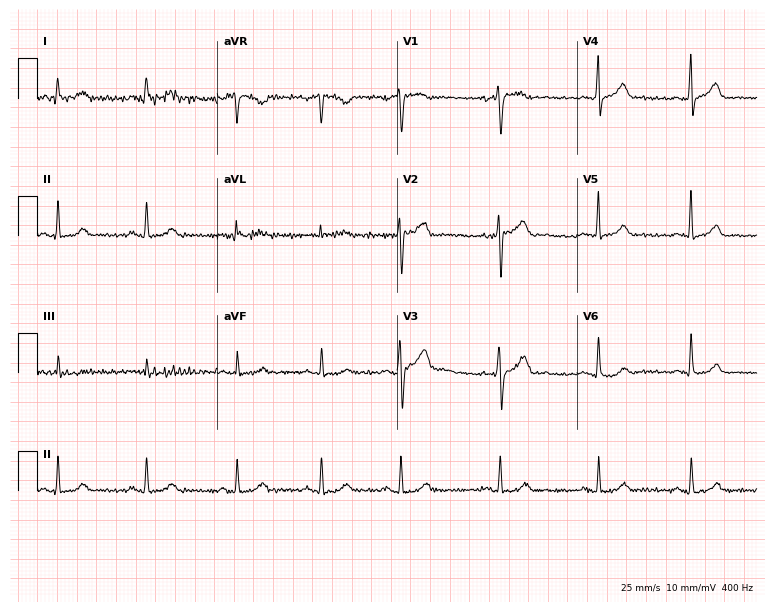
Electrocardiogram, a 36-year-old male. Overall reading on record: normal ECG.